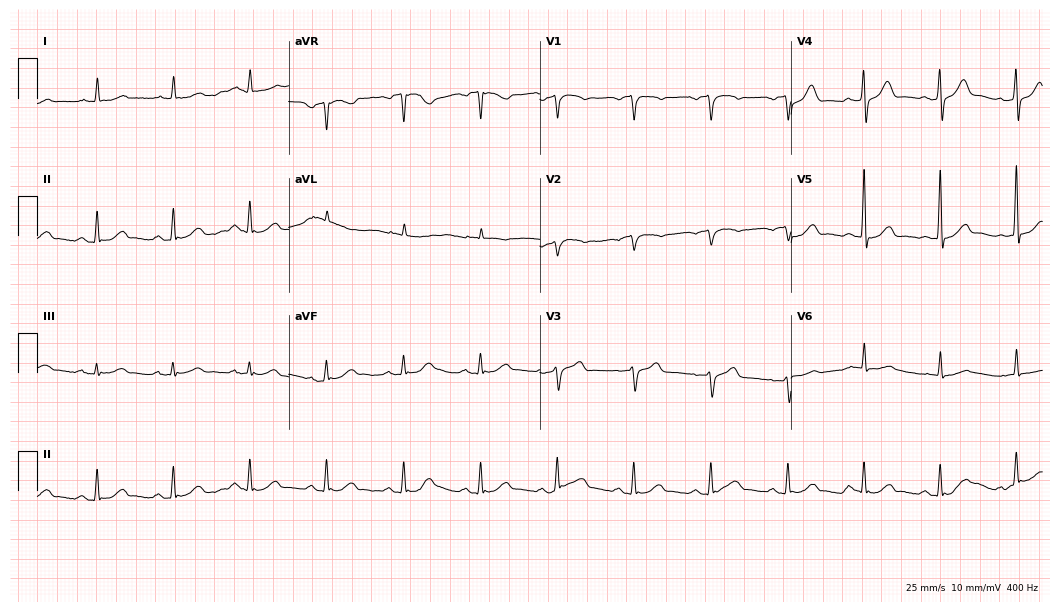
12-lead ECG from a man, 81 years old. Labelled as a normal ECG.